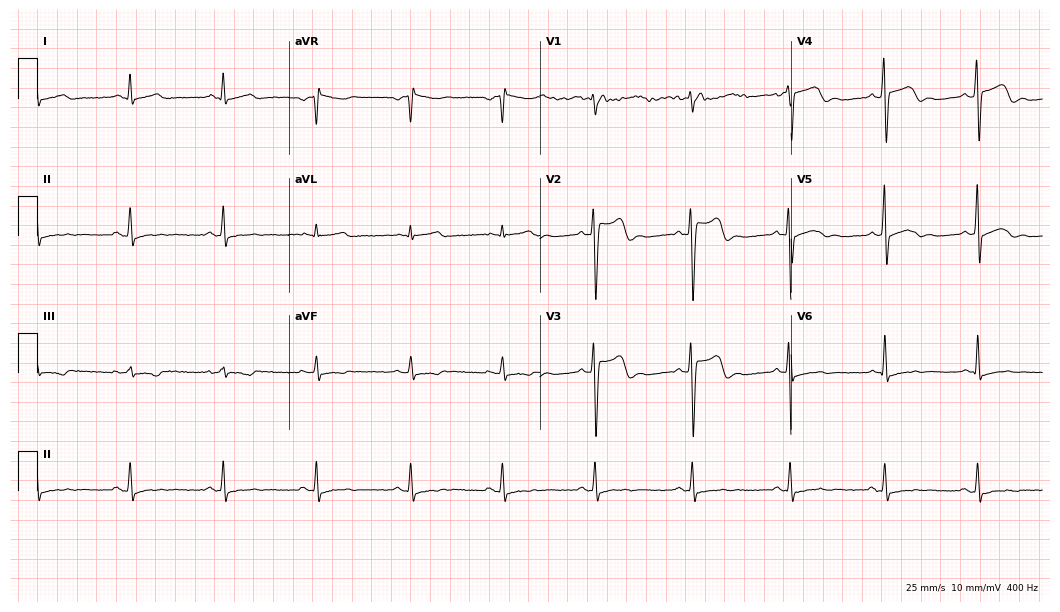
12-lead ECG from a male, 30 years old (10.2-second recording at 400 Hz). Recorded interpretation: within normal limits.